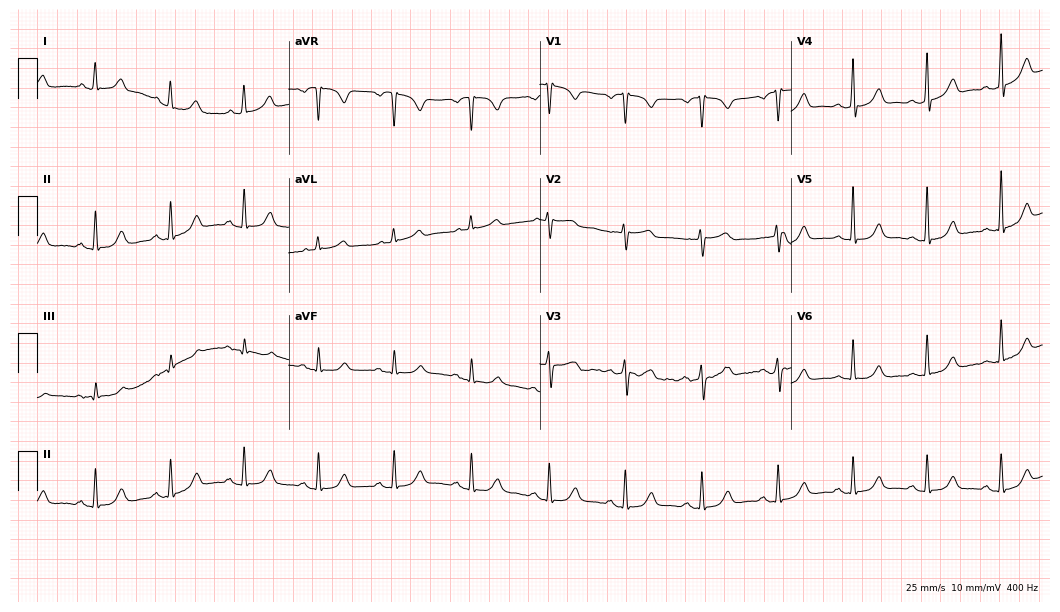
Standard 12-lead ECG recorded from a 62-year-old man. Read as a normal ECG.